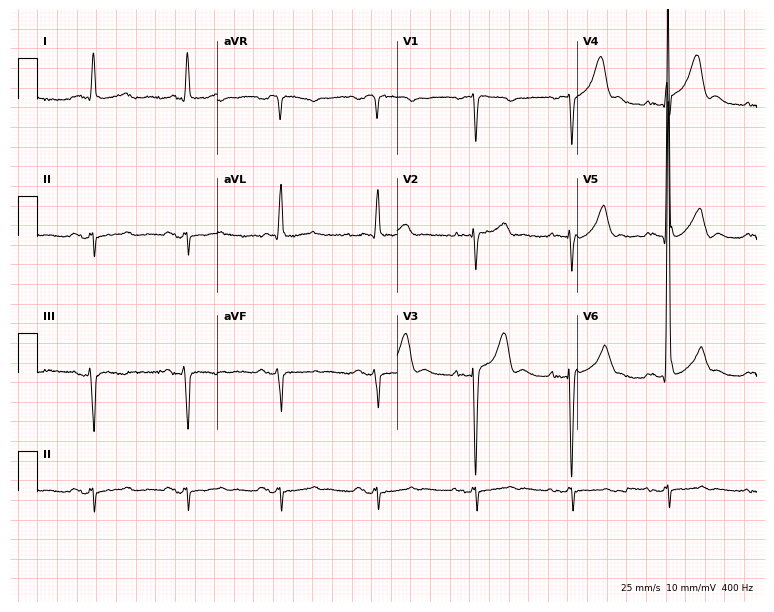
ECG (7.3-second recording at 400 Hz) — a 72-year-old man. Screened for six findings — first-degree AV block, right bundle branch block, left bundle branch block, sinus bradycardia, atrial fibrillation, sinus tachycardia — none is recorded.